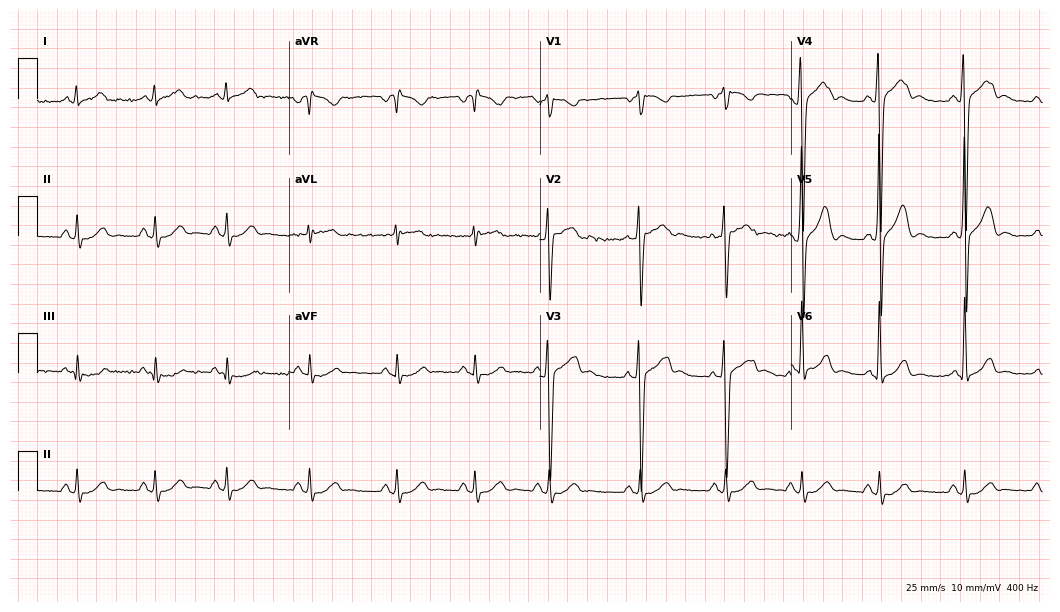
12-lead ECG from a 19-year-old man. Labelled as a normal ECG.